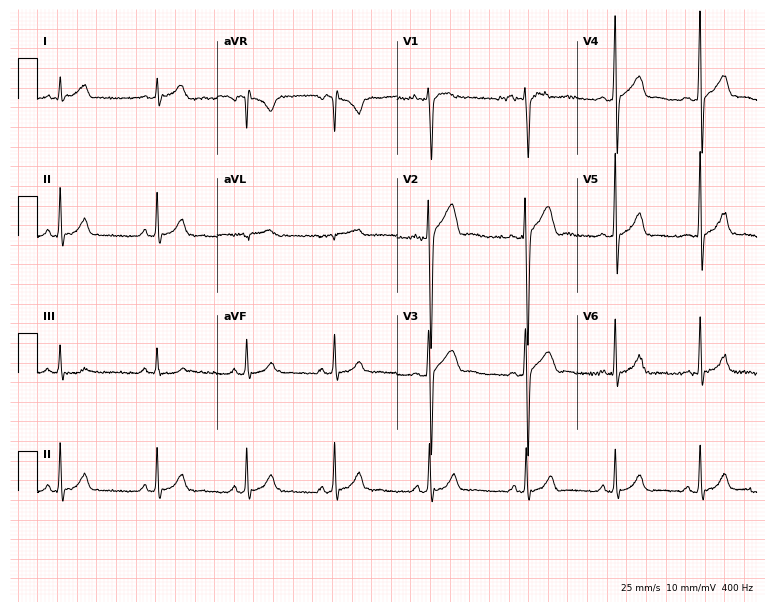
Electrocardiogram, a male patient, 18 years old. Overall reading on record: normal ECG.